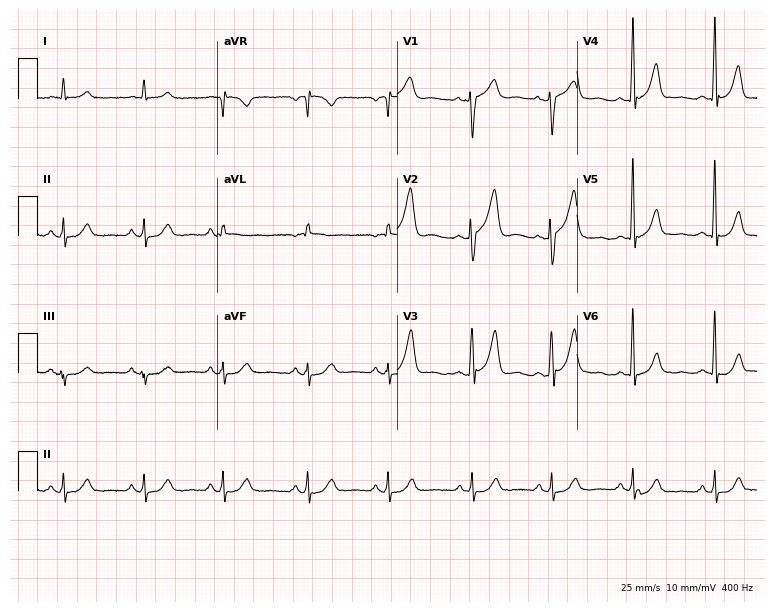
12-lead ECG from a male patient, 67 years old. Screened for six findings — first-degree AV block, right bundle branch block, left bundle branch block, sinus bradycardia, atrial fibrillation, sinus tachycardia — none is recorded.